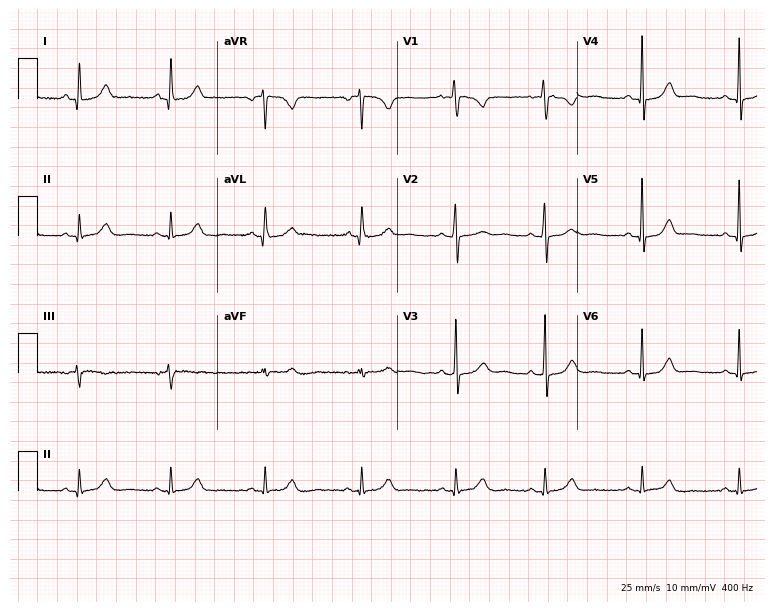
Electrocardiogram, a woman, 49 years old. Overall reading on record: normal ECG.